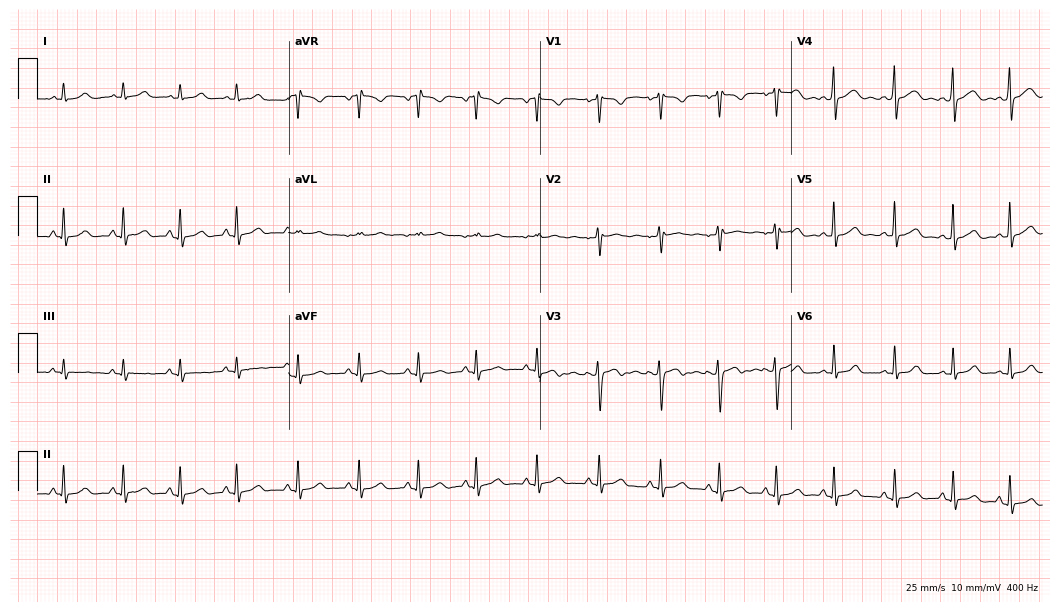
Resting 12-lead electrocardiogram (10.2-second recording at 400 Hz). Patient: a woman, 20 years old. Read as a normal ECG.